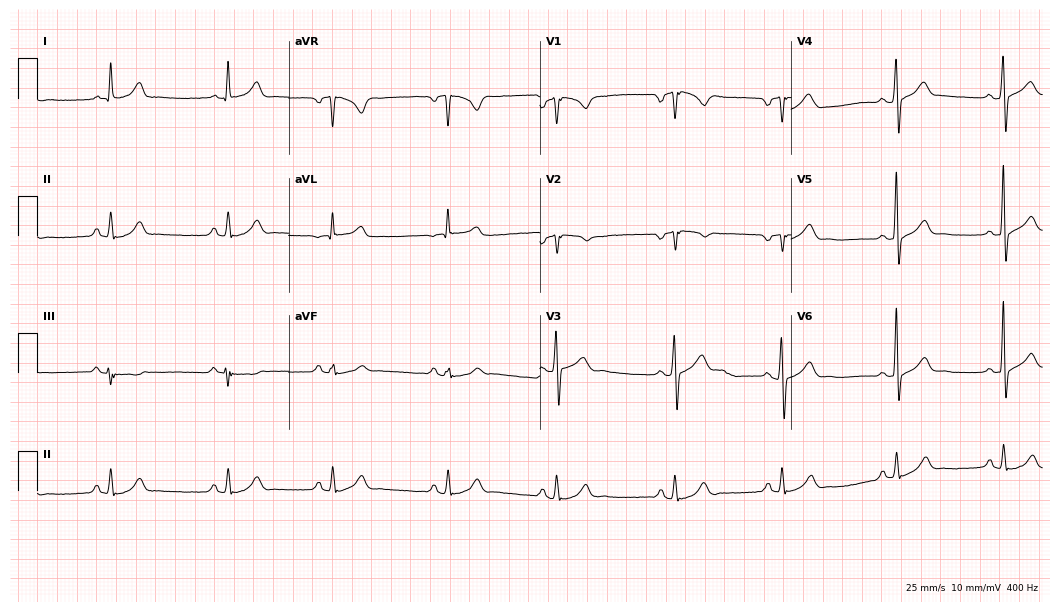
Standard 12-lead ECG recorded from a 38-year-old male (10.2-second recording at 400 Hz). None of these six findings is recorded: first-degree AV block, right bundle branch block, left bundle branch block, sinus bradycardia, atrial fibrillation, sinus tachycardia.